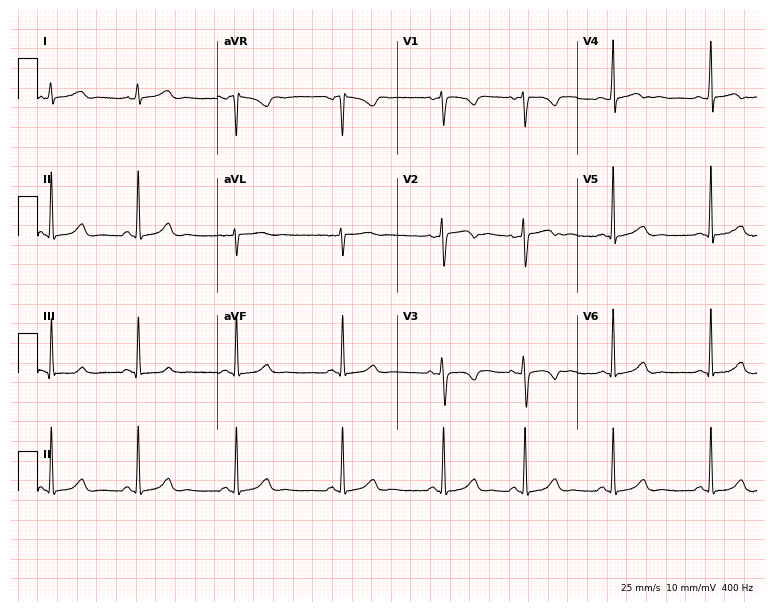
ECG — a 26-year-old woman. Labelled as a normal ECG.